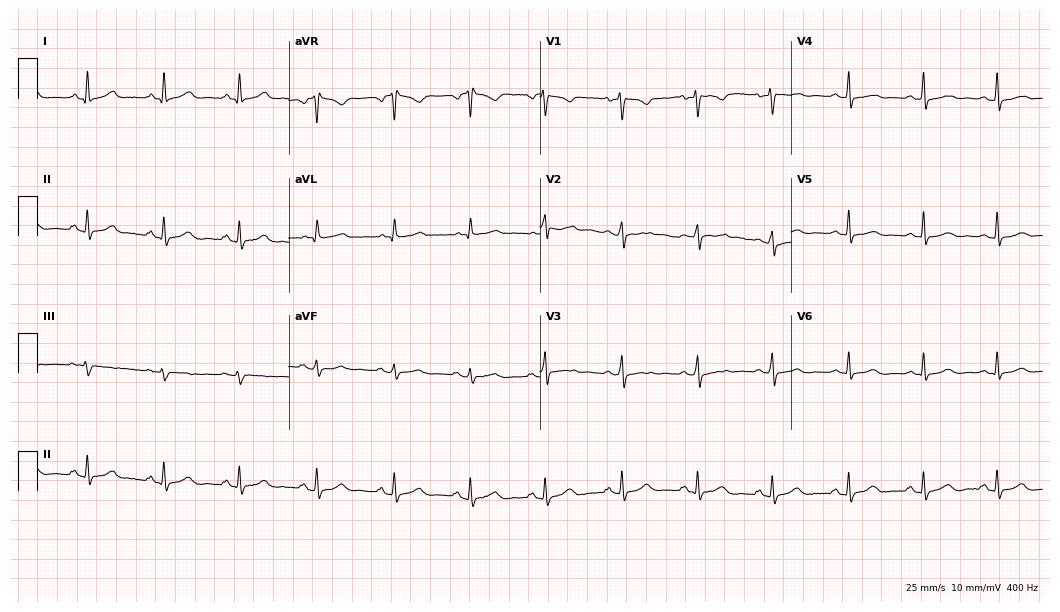
Standard 12-lead ECG recorded from a woman, 40 years old (10.2-second recording at 400 Hz). None of these six findings is recorded: first-degree AV block, right bundle branch block (RBBB), left bundle branch block (LBBB), sinus bradycardia, atrial fibrillation (AF), sinus tachycardia. Other findings, if any, are not listed.